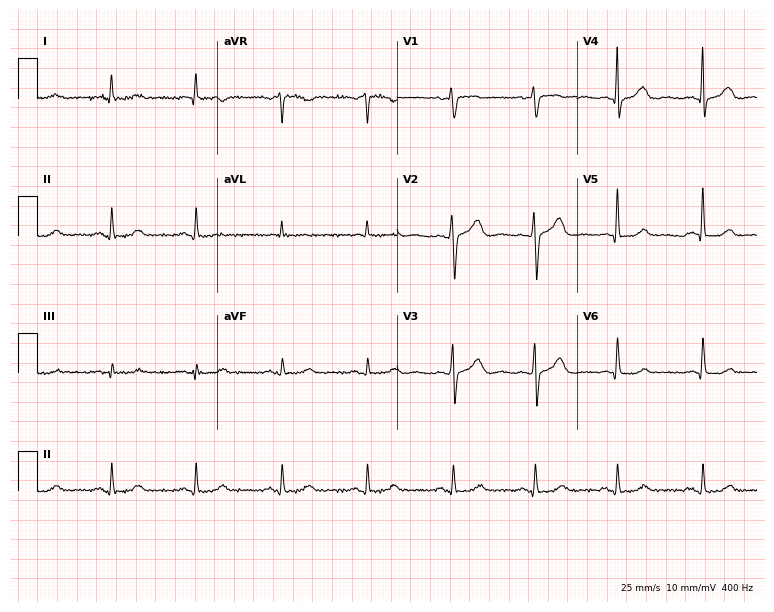
12-lead ECG from a woman, 48 years old. Screened for six findings — first-degree AV block, right bundle branch block (RBBB), left bundle branch block (LBBB), sinus bradycardia, atrial fibrillation (AF), sinus tachycardia — none is recorded. Only these six findings were labelled.